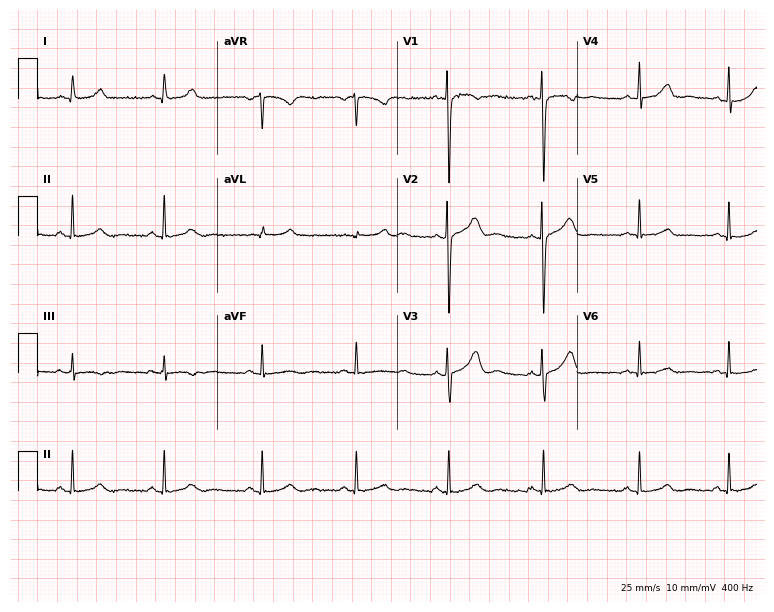
12-lead ECG (7.3-second recording at 400 Hz) from a woman, 25 years old. Labelled as a normal ECG.